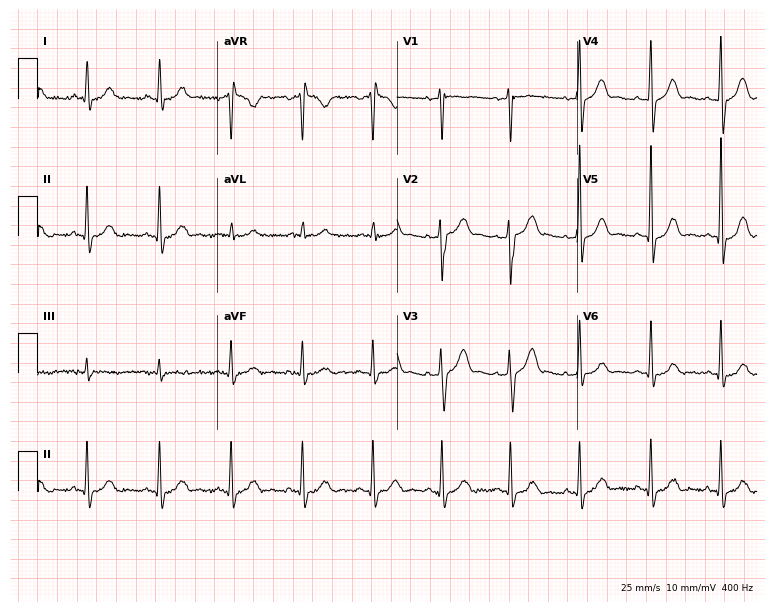
Standard 12-lead ECG recorded from a 49-year-old male patient. None of these six findings is recorded: first-degree AV block, right bundle branch block, left bundle branch block, sinus bradycardia, atrial fibrillation, sinus tachycardia. Findings outside these six are not listed.